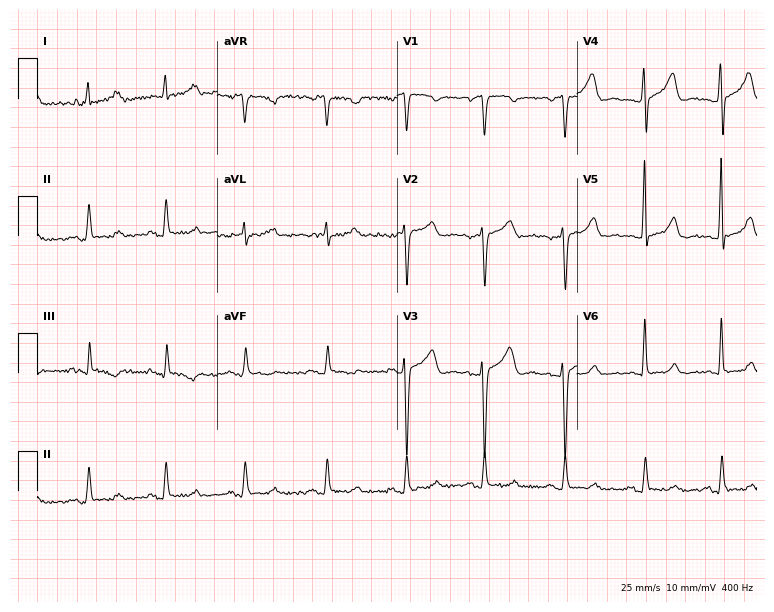
12-lead ECG from a 46-year-old female (7.3-second recording at 400 Hz). No first-degree AV block, right bundle branch block, left bundle branch block, sinus bradycardia, atrial fibrillation or sinus tachycardia recorded for this tracing.